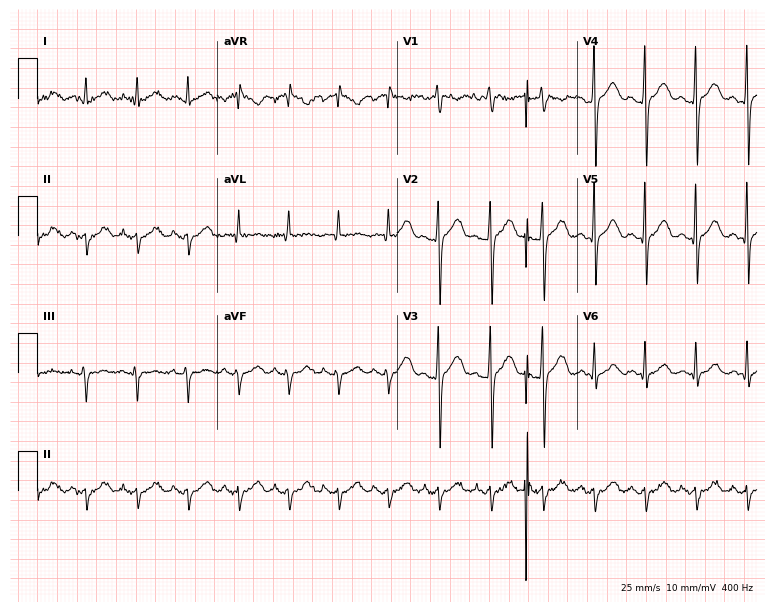
ECG (7.3-second recording at 400 Hz) — a man, 25 years old. Findings include sinus tachycardia (a sinus rate of 100 beats per minute or more).